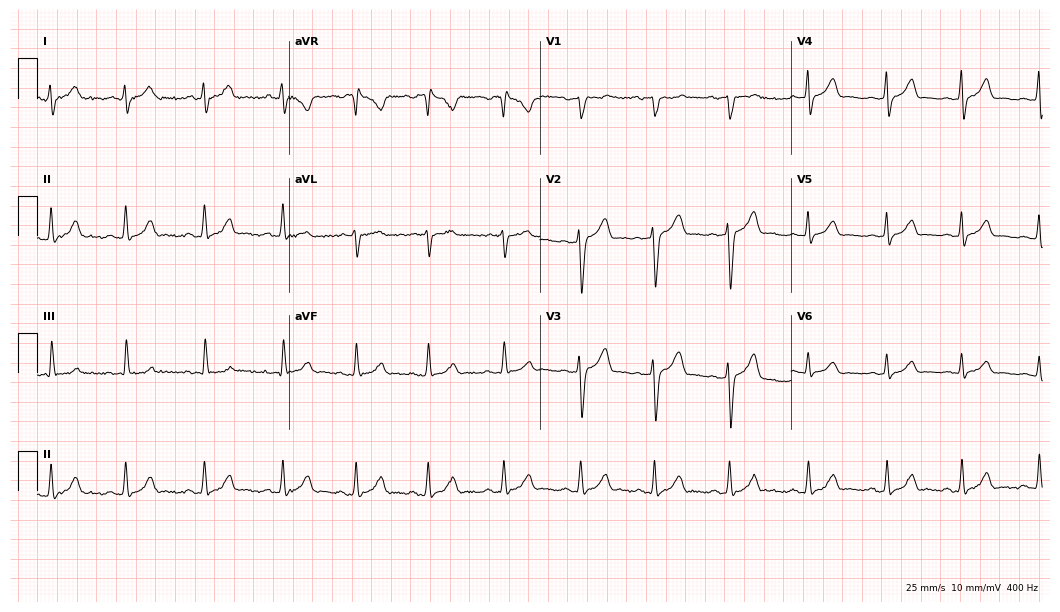
Electrocardiogram (10.2-second recording at 400 Hz), a 23-year-old woman. Overall reading on record: normal ECG.